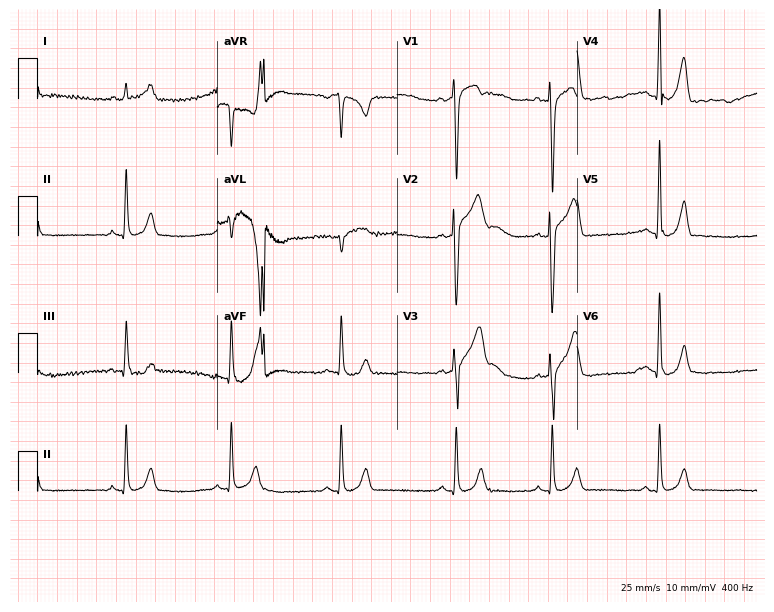
ECG (7.3-second recording at 400 Hz) — a male, 22 years old. Labelled as a normal ECG.